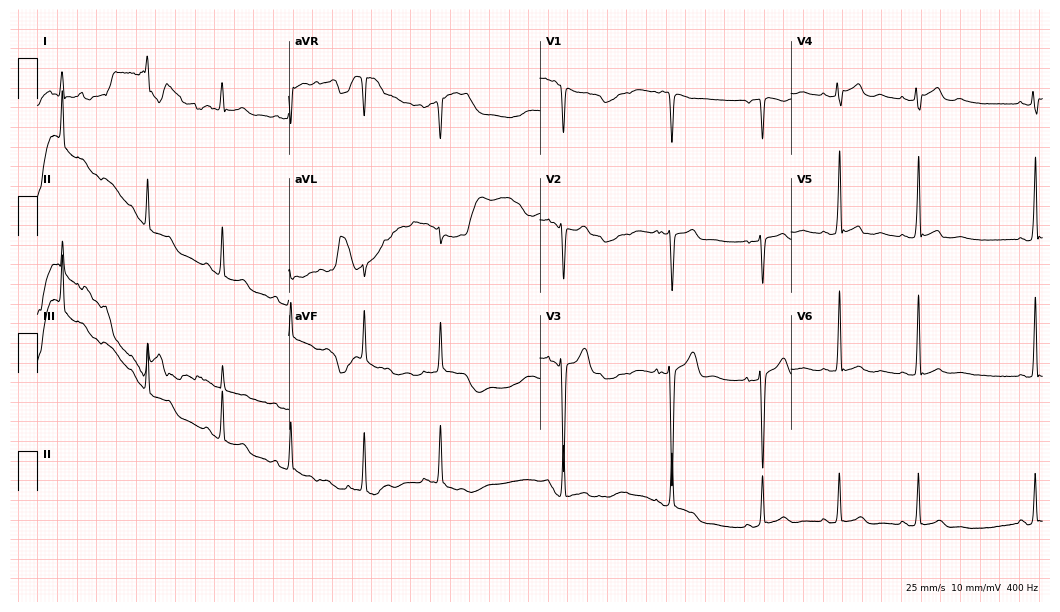
ECG (10.2-second recording at 400 Hz) — a 19-year-old male patient. Screened for six findings — first-degree AV block, right bundle branch block, left bundle branch block, sinus bradycardia, atrial fibrillation, sinus tachycardia — none is recorded.